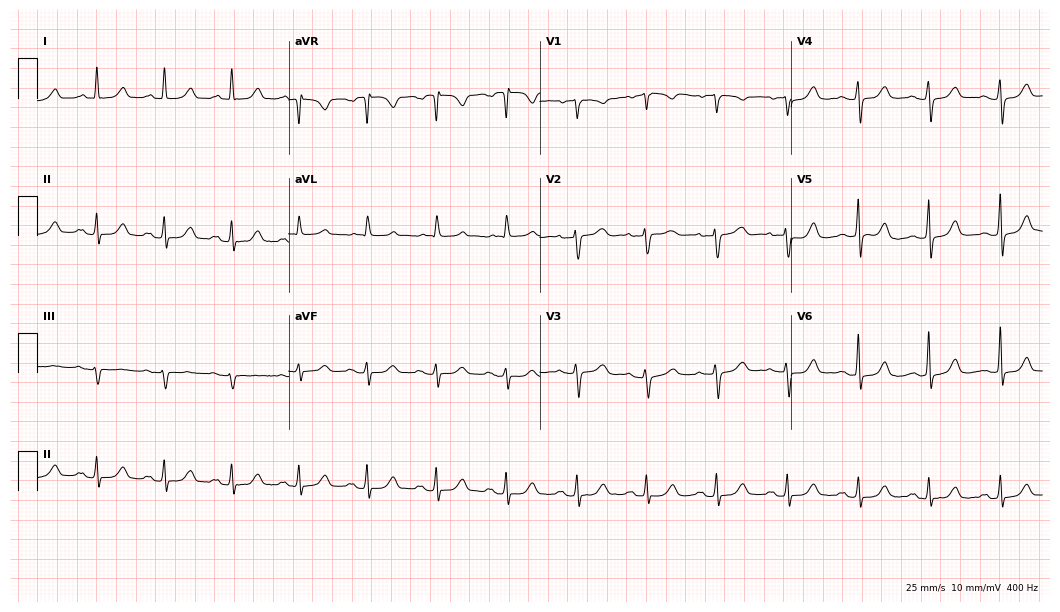
Resting 12-lead electrocardiogram. Patient: a 76-year-old female. None of these six findings is recorded: first-degree AV block, right bundle branch block, left bundle branch block, sinus bradycardia, atrial fibrillation, sinus tachycardia. Findings outside these six are not listed.